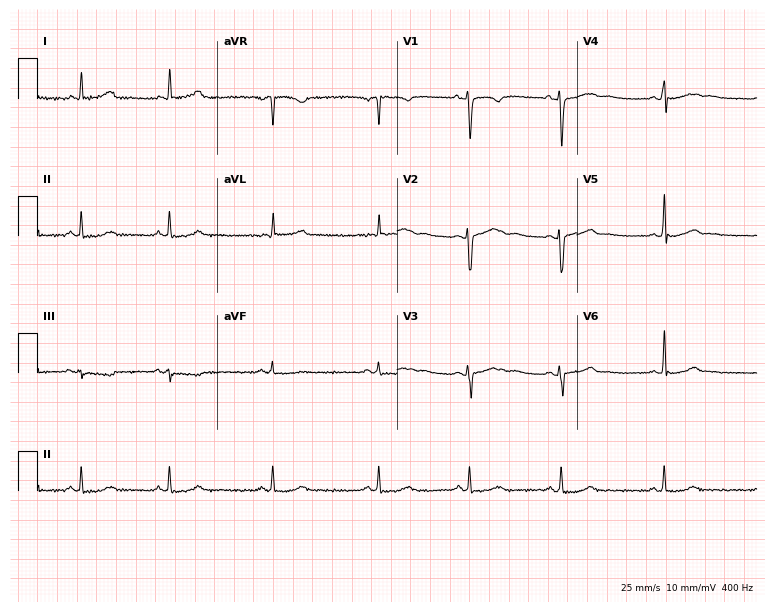
Standard 12-lead ECG recorded from a 26-year-old female patient. Read as a normal ECG.